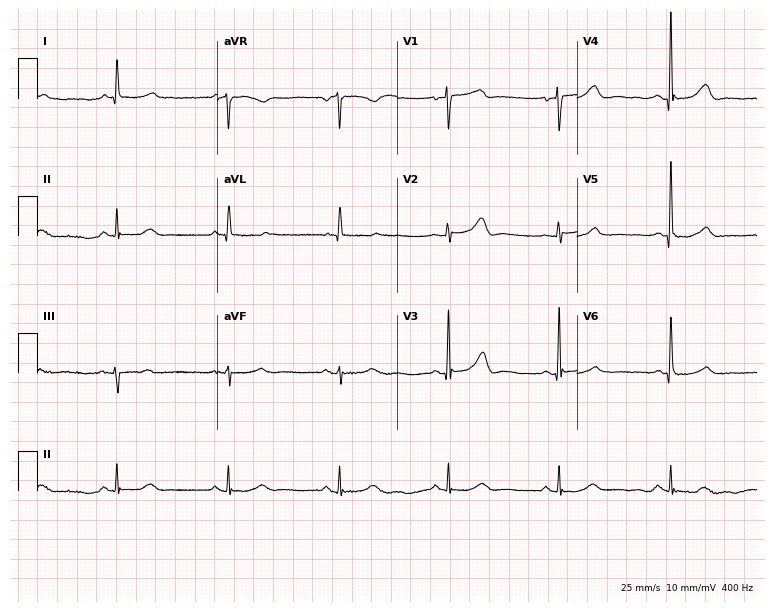
12-lead ECG from a female patient, 79 years old. Recorded interpretation: within normal limits.